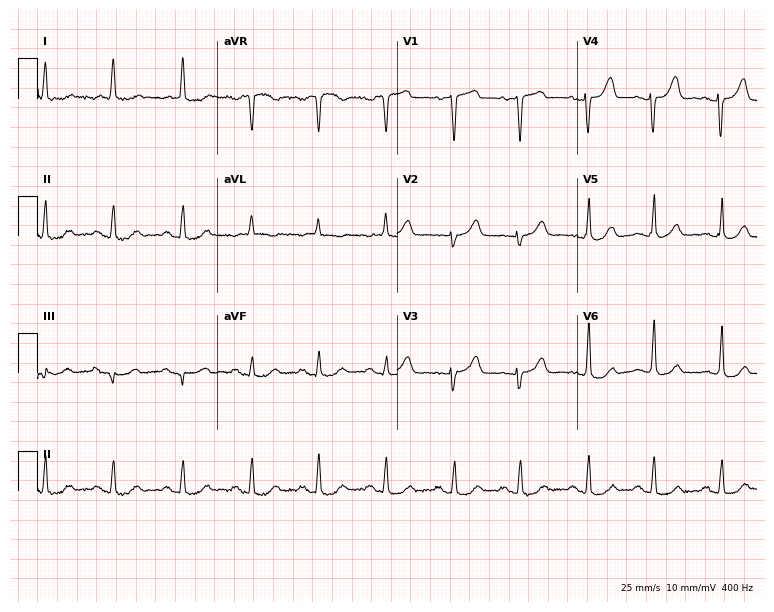
Resting 12-lead electrocardiogram. Patient: an 83-year-old female. None of these six findings is recorded: first-degree AV block, right bundle branch block, left bundle branch block, sinus bradycardia, atrial fibrillation, sinus tachycardia. Findings outside these six are not listed.